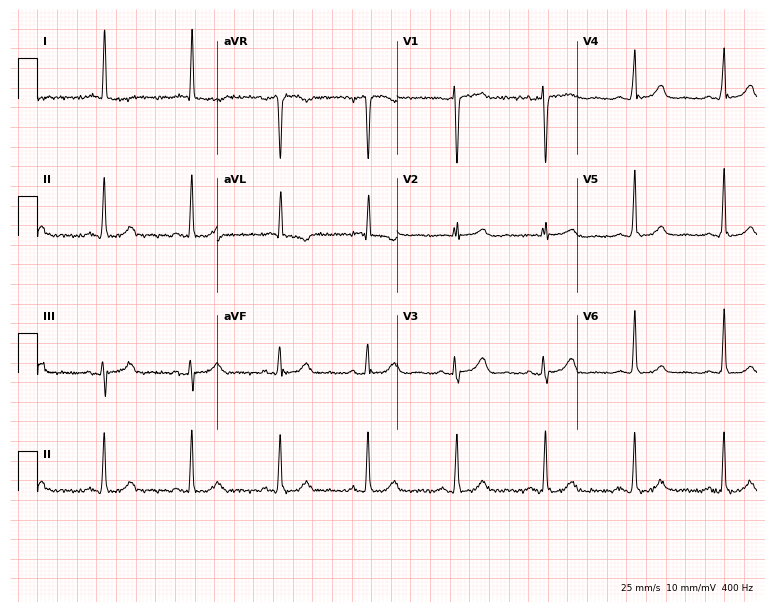
ECG — a woman, 79 years old. Labelled as a normal ECG.